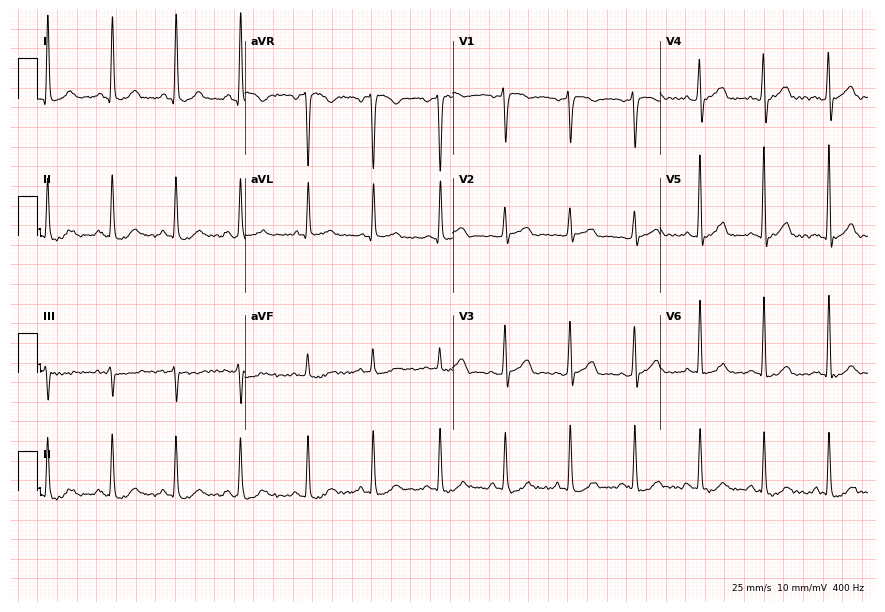
Resting 12-lead electrocardiogram (8.5-second recording at 400 Hz). Patient: a 49-year-old female. Read as a normal ECG.